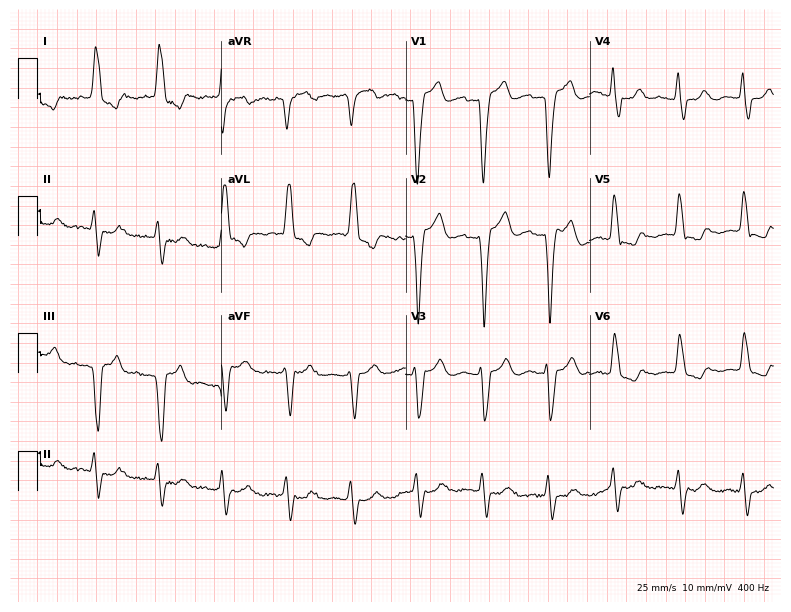
Electrocardiogram (7.5-second recording at 400 Hz), a woman, 82 years old. Of the six screened findings (first-degree AV block, right bundle branch block (RBBB), left bundle branch block (LBBB), sinus bradycardia, atrial fibrillation (AF), sinus tachycardia), none is recorded. Findings outside these six are not listed.